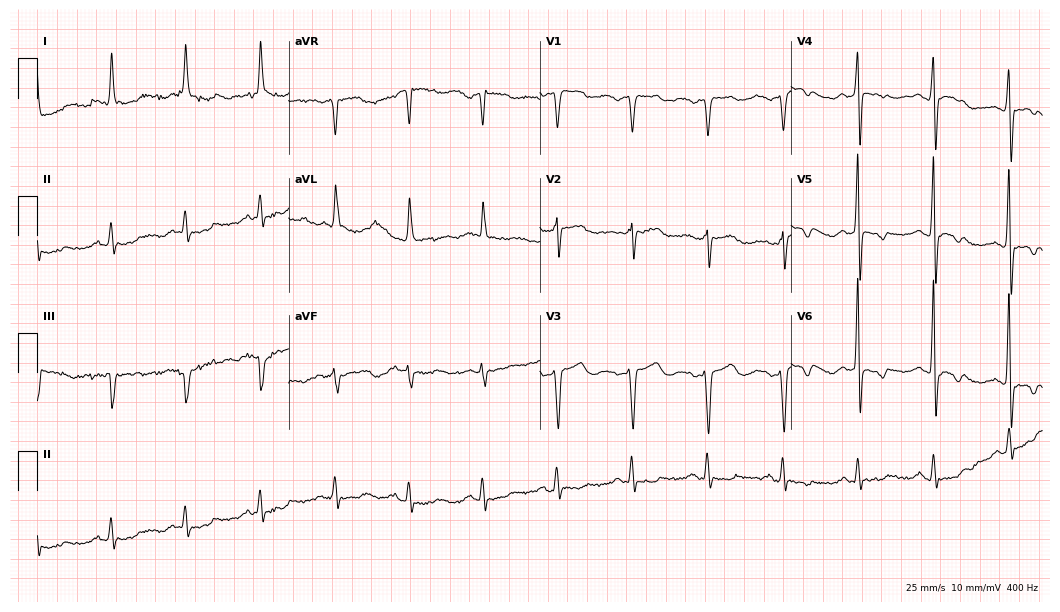
Standard 12-lead ECG recorded from a 61-year-old woman (10.2-second recording at 400 Hz). None of these six findings is recorded: first-degree AV block, right bundle branch block, left bundle branch block, sinus bradycardia, atrial fibrillation, sinus tachycardia. Other findings, if any, are not listed.